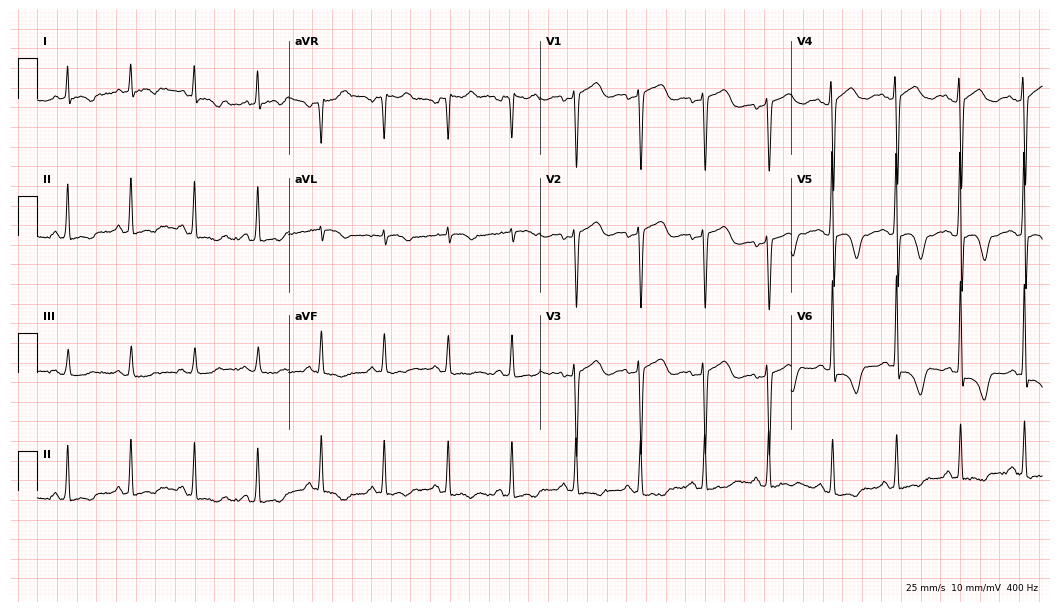
12-lead ECG from a male, 59 years old. No first-degree AV block, right bundle branch block, left bundle branch block, sinus bradycardia, atrial fibrillation or sinus tachycardia recorded for this tracing.